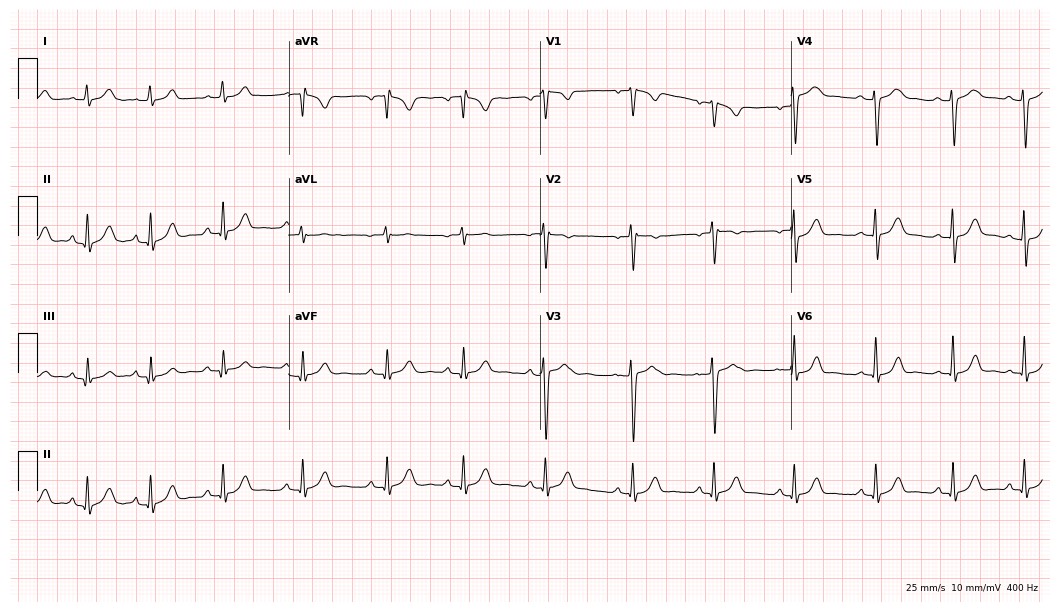
Electrocardiogram (10.2-second recording at 400 Hz), a 20-year-old female patient. Overall reading on record: normal ECG.